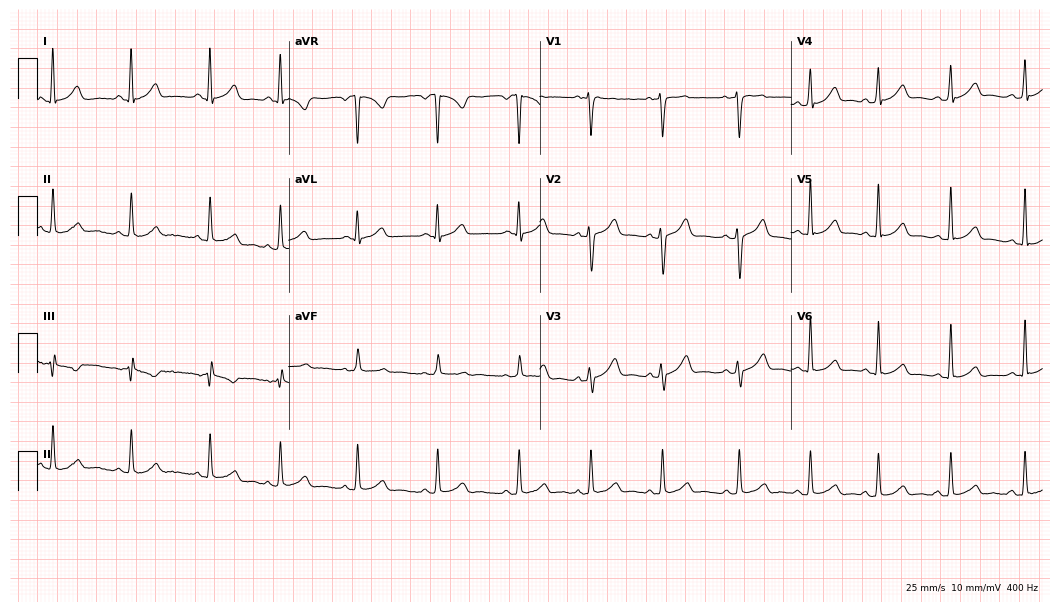
Electrocardiogram (10.2-second recording at 400 Hz), a female patient, 23 years old. Of the six screened findings (first-degree AV block, right bundle branch block (RBBB), left bundle branch block (LBBB), sinus bradycardia, atrial fibrillation (AF), sinus tachycardia), none is recorded.